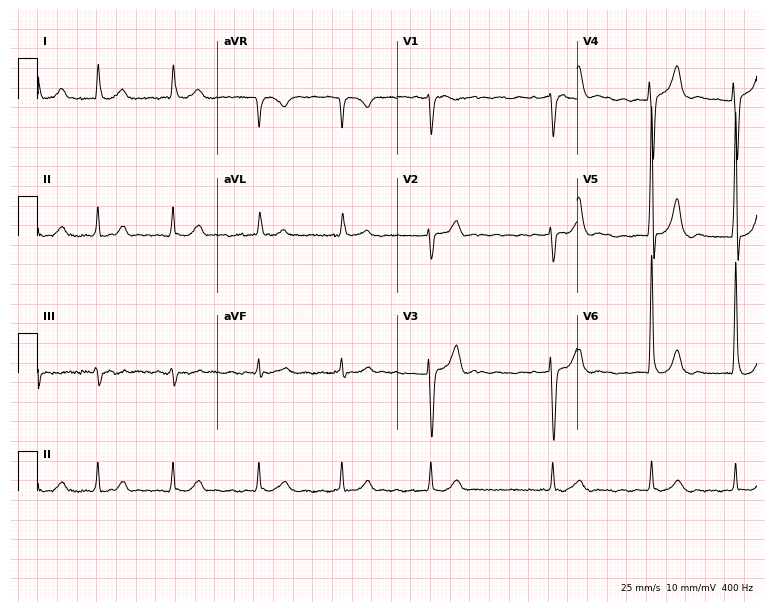
12-lead ECG (7.3-second recording at 400 Hz) from a 77-year-old man. Findings include atrial fibrillation.